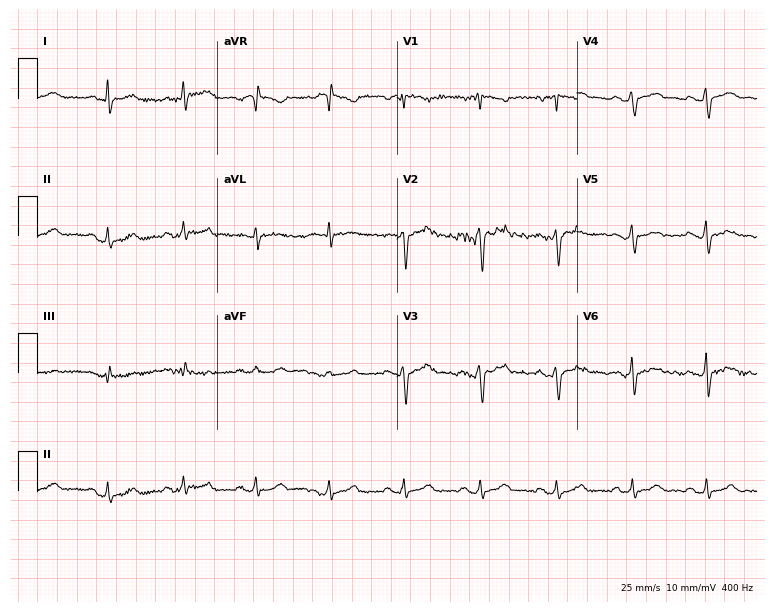
12-lead ECG from a man, 35 years old (7.3-second recording at 400 Hz). No first-degree AV block, right bundle branch block, left bundle branch block, sinus bradycardia, atrial fibrillation or sinus tachycardia recorded for this tracing.